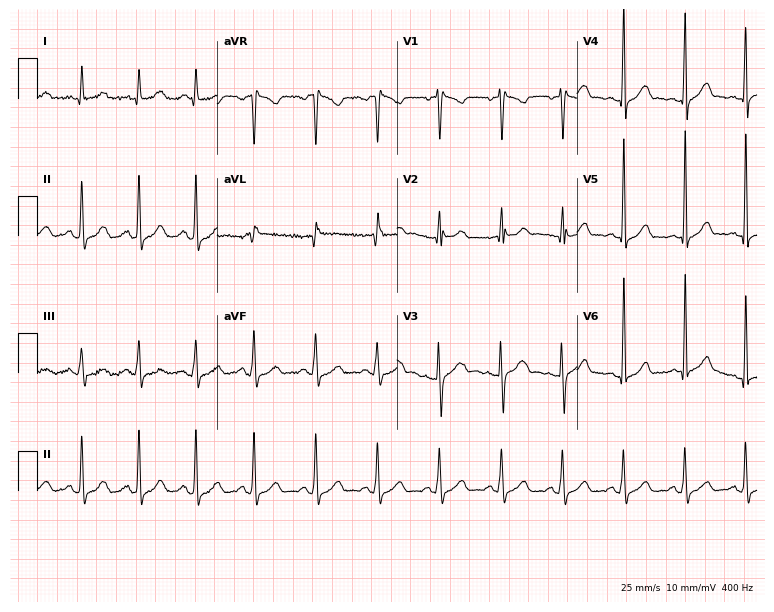
Standard 12-lead ECG recorded from a 46-year-old male patient (7.3-second recording at 400 Hz). None of these six findings is recorded: first-degree AV block, right bundle branch block, left bundle branch block, sinus bradycardia, atrial fibrillation, sinus tachycardia.